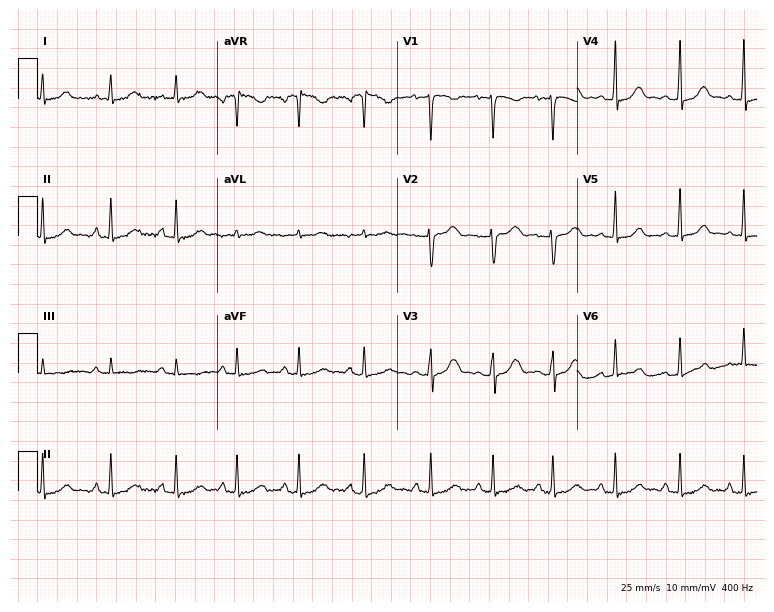
12-lead ECG from a 23-year-old woman (7.3-second recording at 400 Hz). No first-degree AV block, right bundle branch block, left bundle branch block, sinus bradycardia, atrial fibrillation or sinus tachycardia recorded for this tracing.